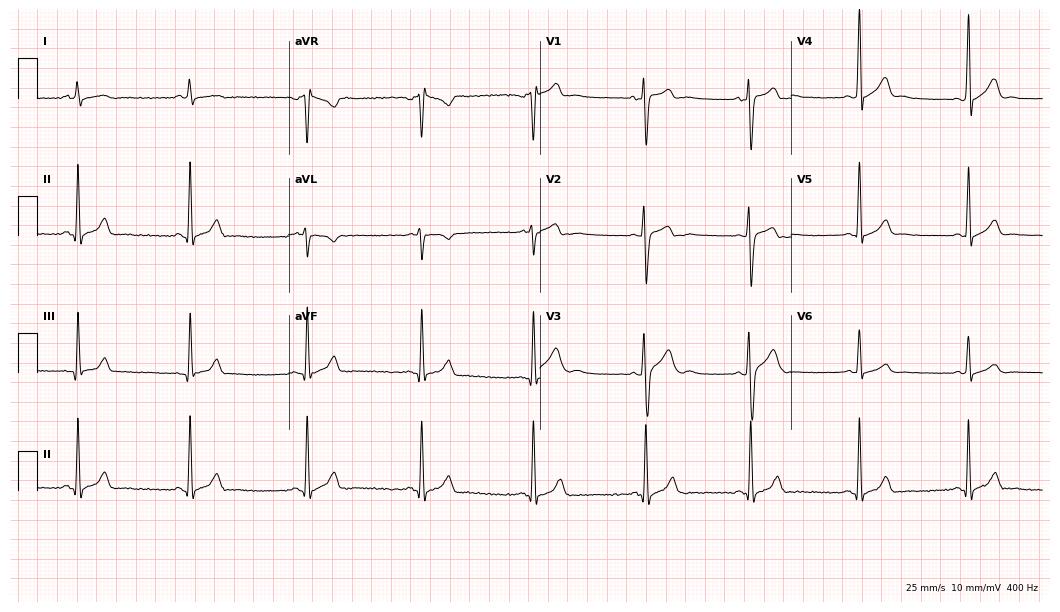
ECG — a 22-year-old male patient. Screened for six findings — first-degree AV block, right bundle branch block (RBBB), left bundle branch block (LBBB), sinus bradycardia, atrial fibrillation (AF), sinus tachycardia — none is recorded. Findings outside these six are not listed.